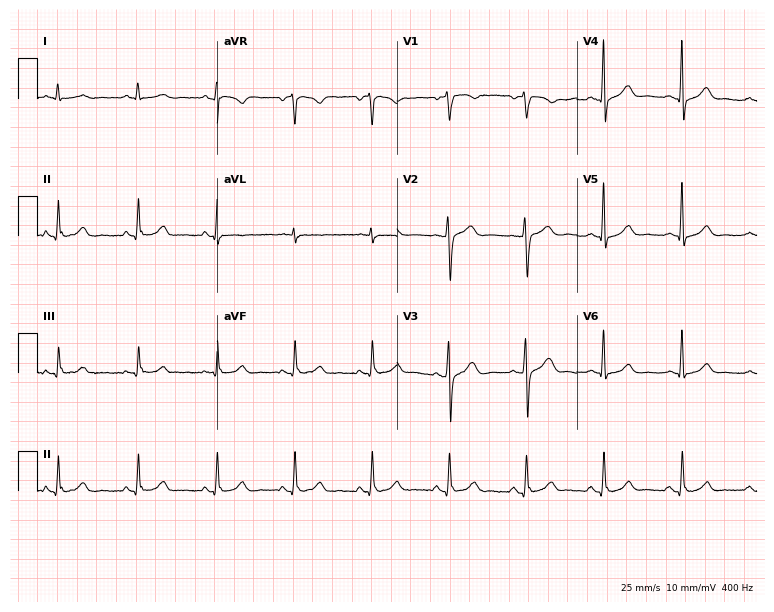
Resting 12-lead electrocardiogram (7.3-second recording at 400 Hz). Patient: a 57-year-old male. None of these six findings is recorded: first-degree AV block, right bundle branch block, left bundle branch block, sinus bradycardia, atrial fibrillation, sinus tachycardia.